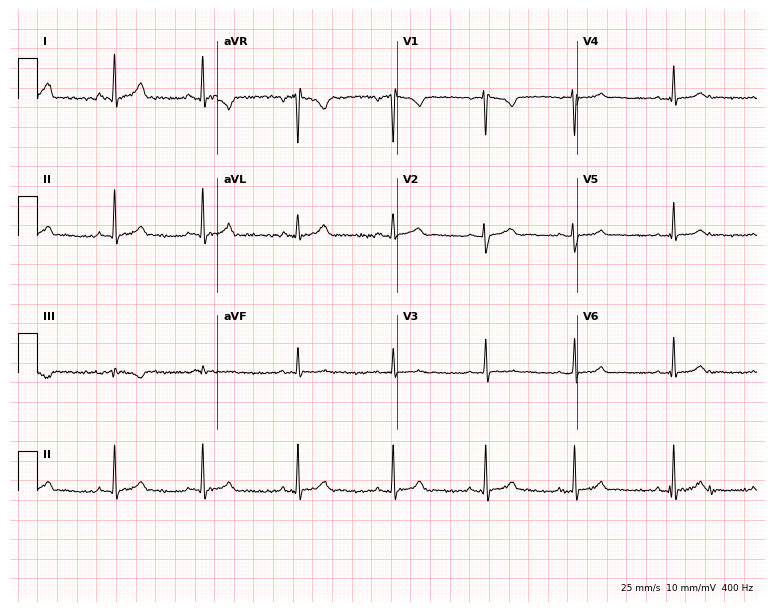
Standard 12-lead ECG recorded from a woman, 23 years old. None of these six findings is recorded: first-degree AV block, right bundle branch block, left bundle branch block, sinus bradycardia, atrial fibrillation, sinus tachycardia. Findings outside these six are not listed.